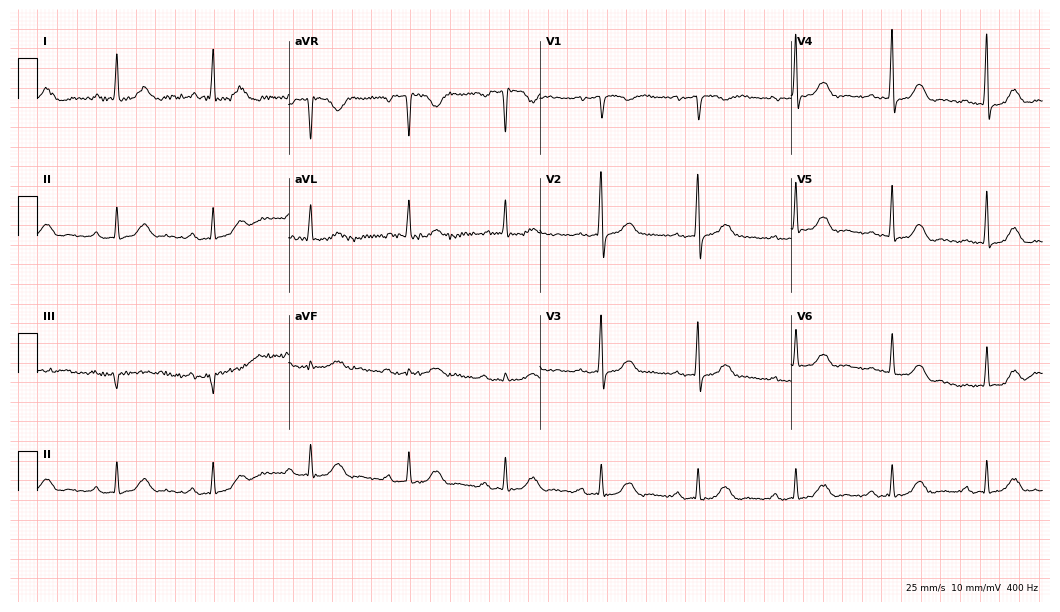
ECG (10.2-second recording at 400 Hz) — a 46-year-old male. Findings include first-degree AV block.